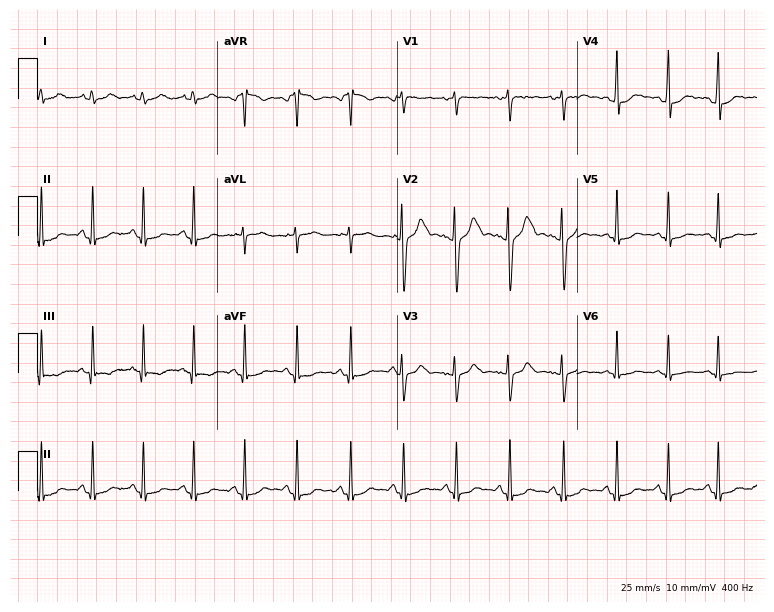
ECG — a 19-year-old woman. Findings include sinus tachycardia (a sinus rate of 100 beats per minute or more).